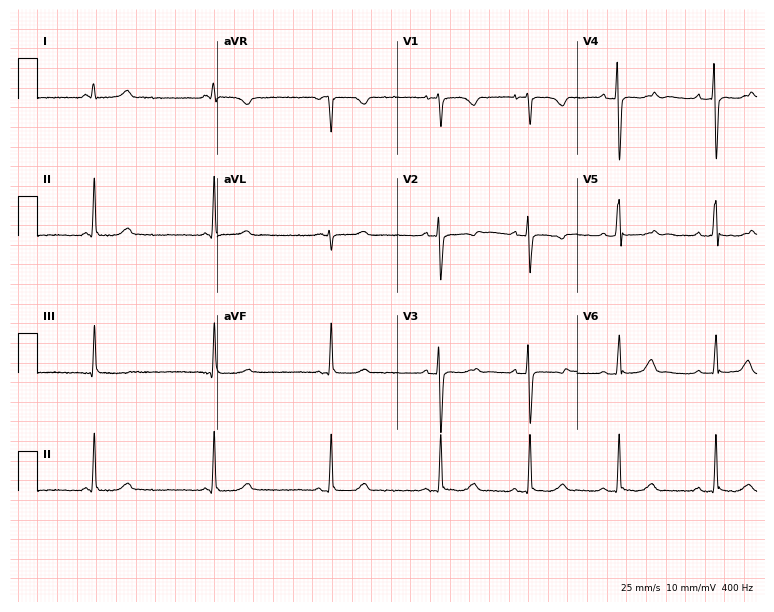
12-lead ECG from a female patient, 18 years old. Screened for six findings — first-degree AV block, right bundle branch block, left bundle branch block, sinus bradycardia, atrial fibrillation, sinus tachycardia — none is recorded. Findings outside these six are not listed.